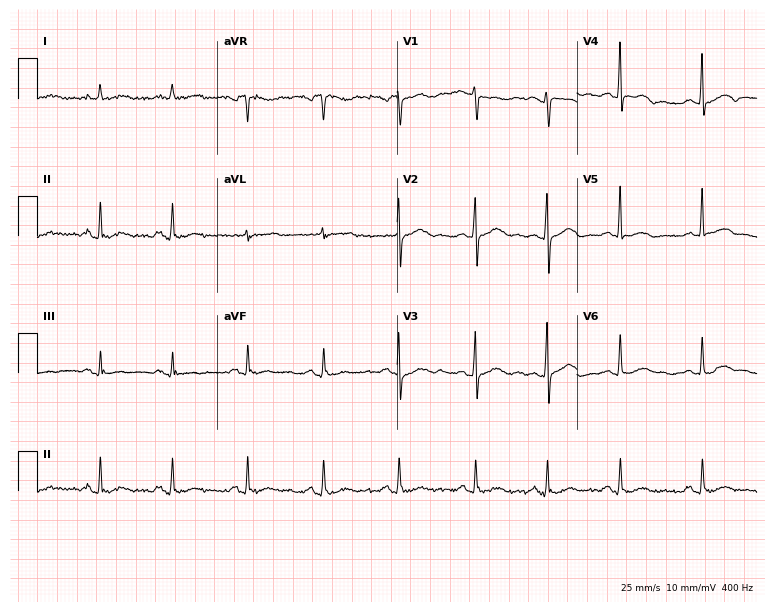
Electrocardiogram, a female, 43 years old. Overall reading on record: normal ECG.